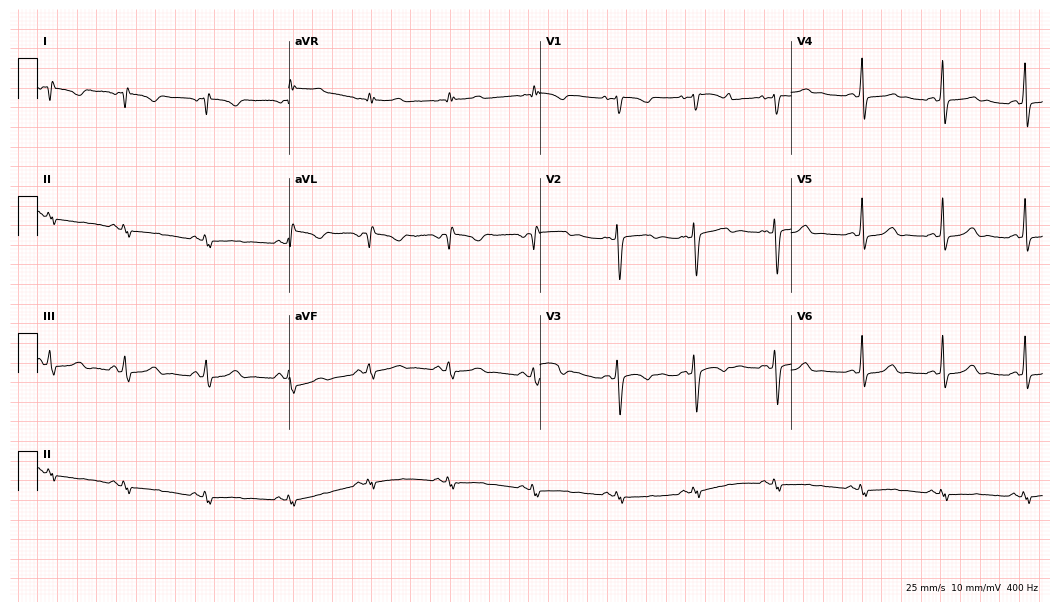
12-lead ECG from a woman, 32 years old. No first-degree AV block, right bundle branch block (RBBB), left bundle branch block (LBBB), sinus bradycardia, atrial fibrillation (AF) or sinus tachycardia recorded for this tracing. Other findings, if any, are not listed.